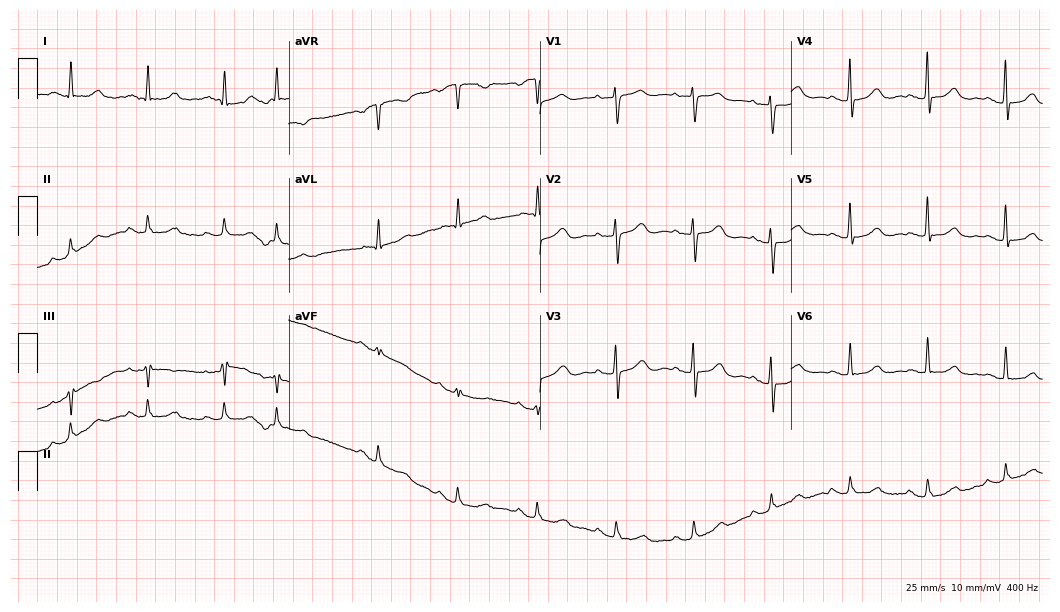
Standard 12-lead ECG recorded from a 72-year-old female. None of these six findings is recorded: first-degree AV block, right bundle branch block (RBBB), left bundle branch block (LBBB), sinus bradycardia, atrial fibrillation (AF), sinus tachycardia.